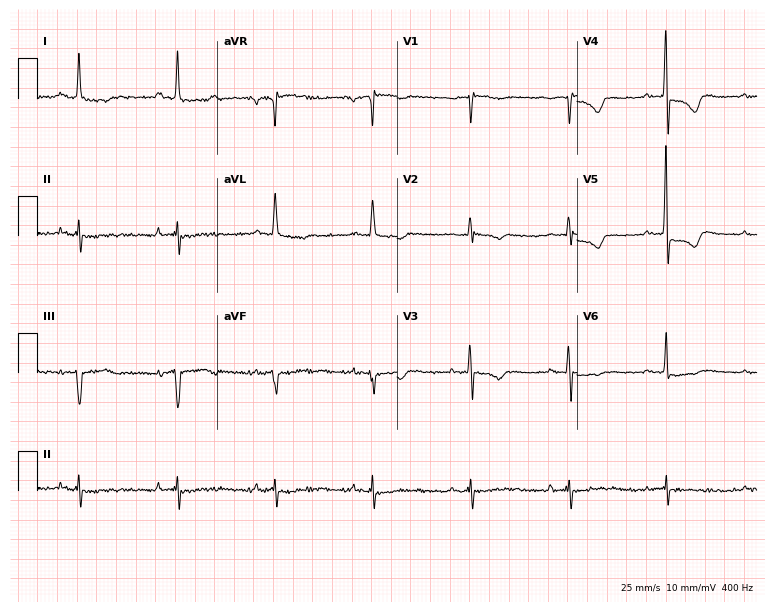
Standard 12-lead ECG recorded from a 67-year-old man (7.3-second recording at 400 Hz). None of these six findings is recorded: first-degree AV block, right bundle branch block, left bundle branch block, sinus bradycardia, atrial fibrillation, sinus tachycardia.